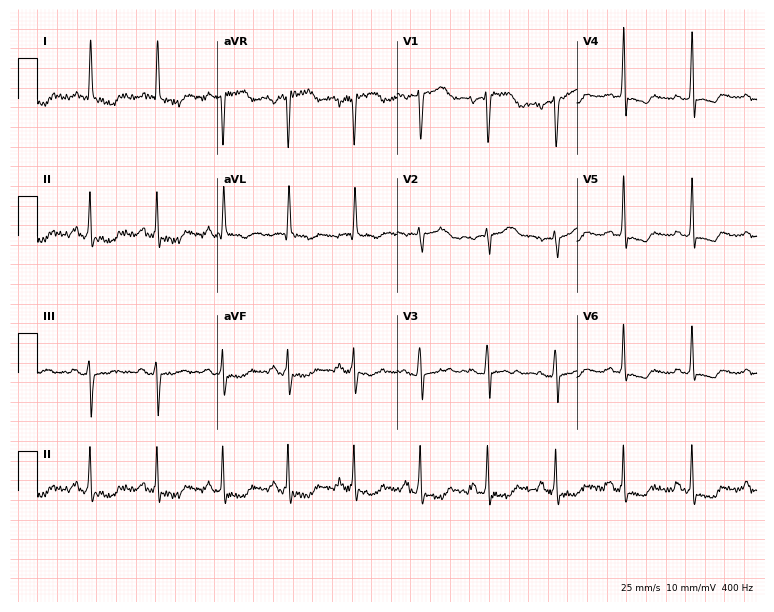
Resting 12-lead electrocardiogram (7.3-second recording at 400 Hz). Patient: a 57-year-old woman. None of these six findings is recorded: first-degree AV block, right bundle branch block, left bundle branch block, sinus bradycardia, atrial fibrillation, sinus tachycardia. Only these six findings were labelled.